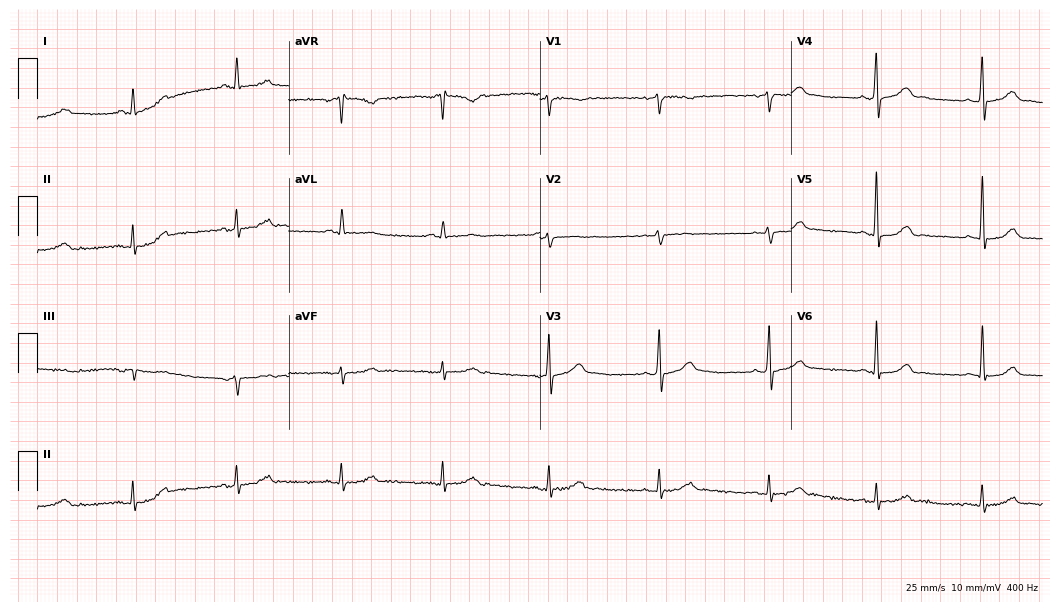
12-lead ECG from a female patient, 62 years old. Labelled as a normal ECG.